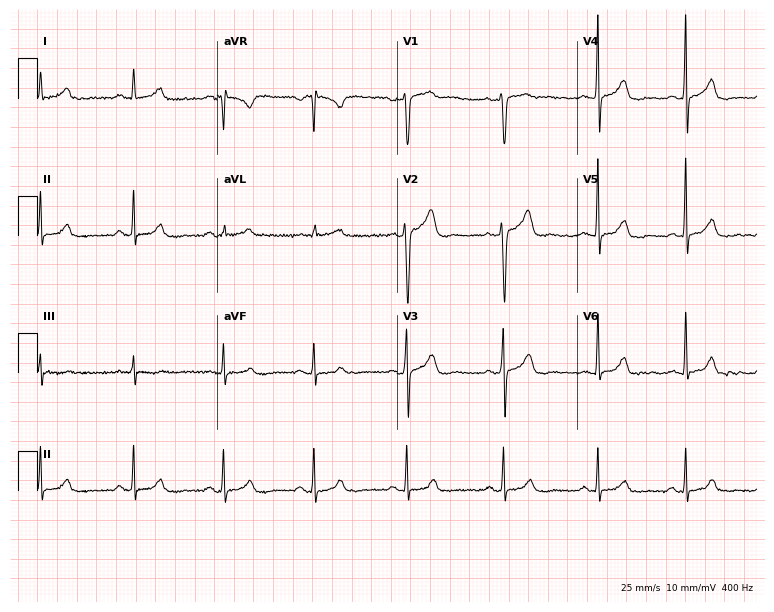
12-lead ECG (7.3-second recording at 400 Hz) from a 45-year-old male. Labelled as a normal ECG.